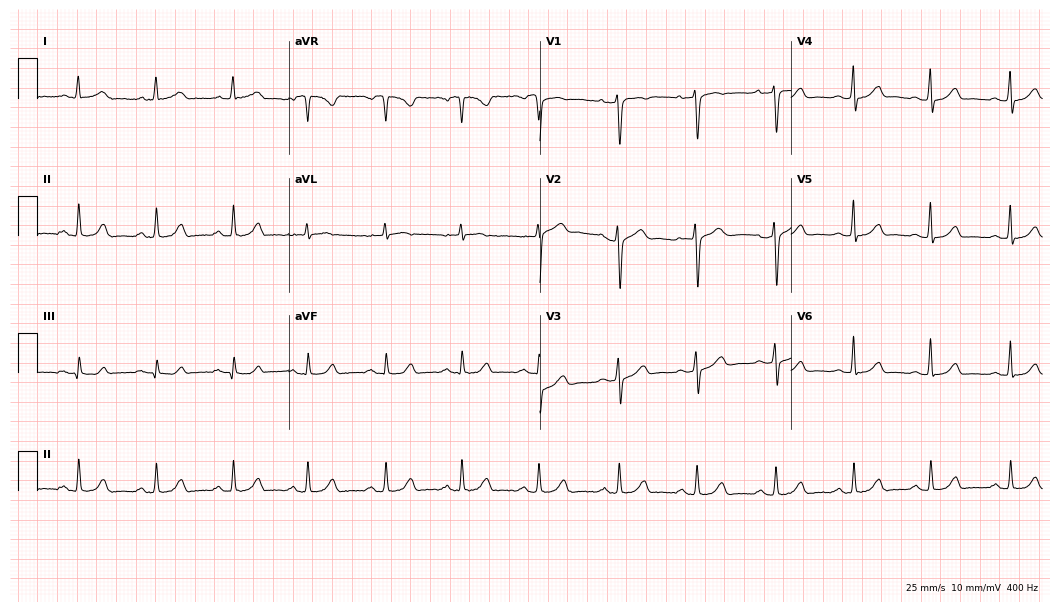
Electrocardiogram, a woman, 53 years old. Overall reading on record: normal ECG.